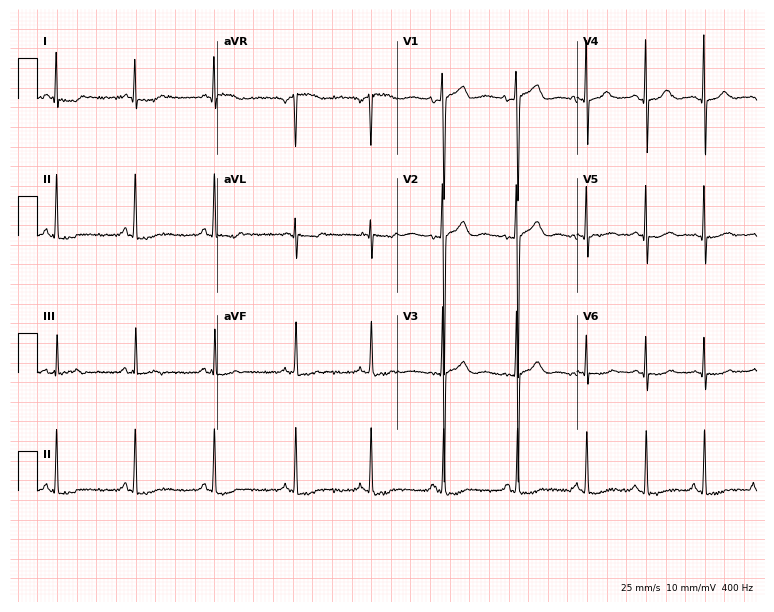
Standard 12-lead ECG recorded from an 18-year-old female (7.3-second recording at 400 Hz). None of these six findings is recorded: first-degree AV block, right bundle branch block (RBBB), left bundle branch block (LBBB), sinus bradycardia, atrial fibrillation (AF), sinus tachycardia.